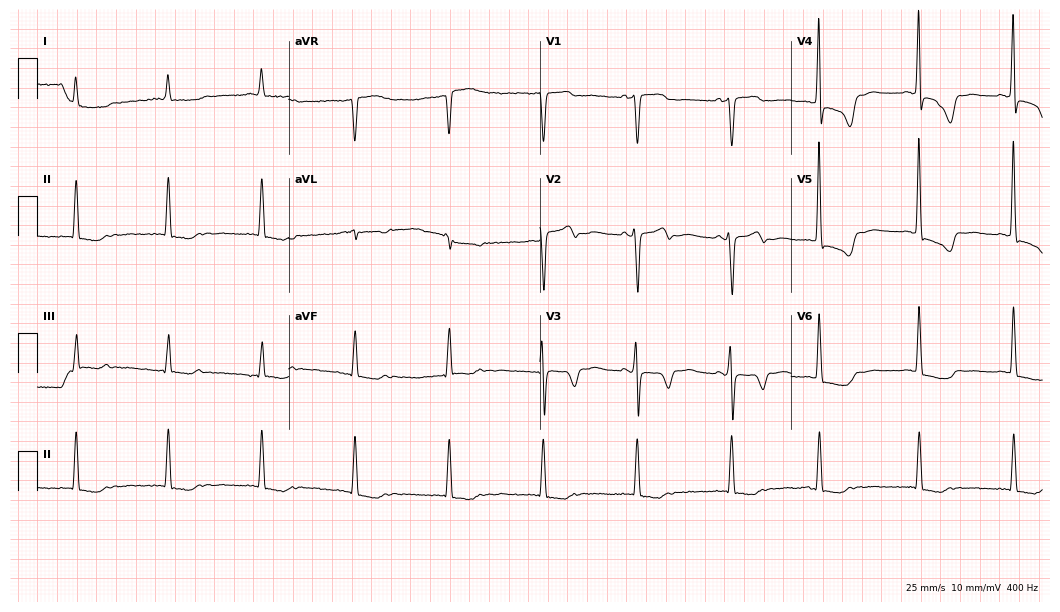
12-lead ECG from an 82-year-old female patient. Screened for six findings — first-degree AV block, right bundle branch block, left bundle branch block, sinus bradycardia, atrial fibrillation, sinus tachycardia — none is recorded.